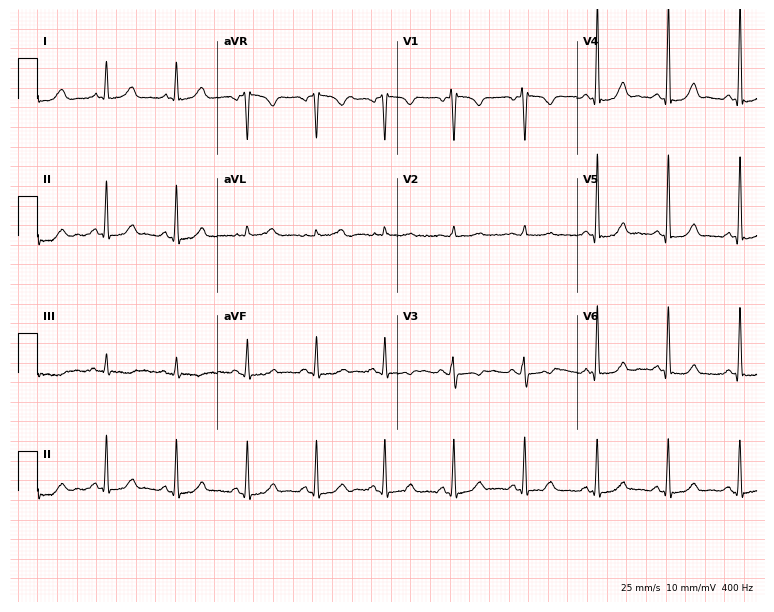
12-lead ECG (7.3-second recording at 400 Hz) from a female patient, 41 years old. Labelled as a normal ECG.